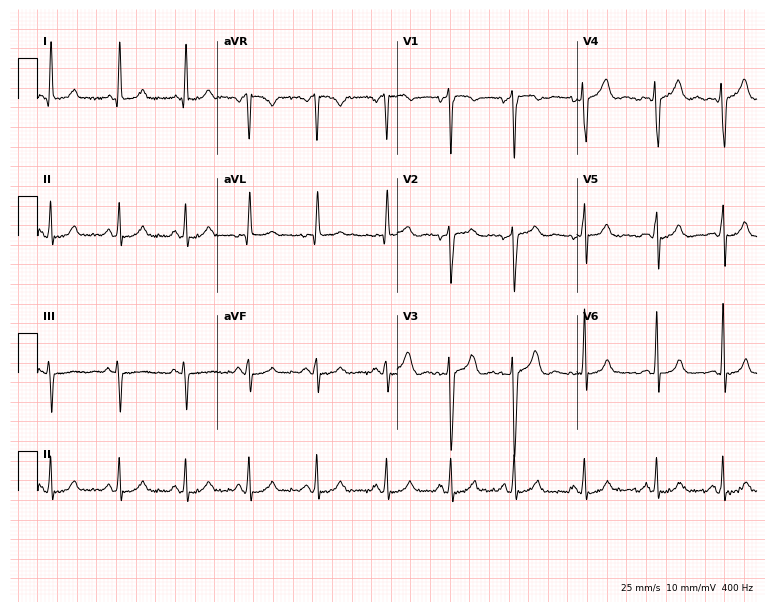
Standard 12-lead ECG recorded from a 28-year-old female (7.3-second recording at 400 Hz). None of these six findings is recorded: first-degree AV block, right bundle branch block (RBBB), left bundle branch block (LBBB), sinus bradycardia, atrial fibrillation (AF), sinus tachycardia. Other findings, if any, are not listed.